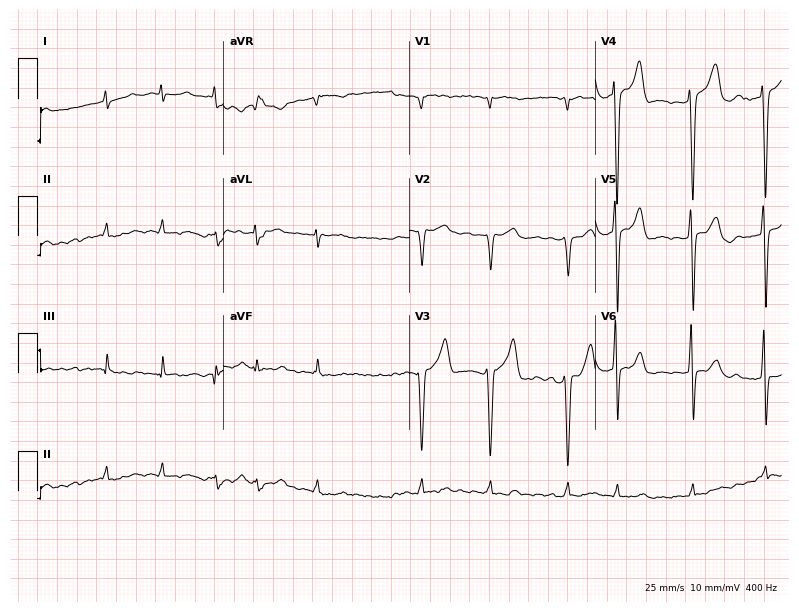
Resting 12-lead electrocardiogram. Patient: a 78-year-old man. The tracing shows atrial fibrillation (AF).